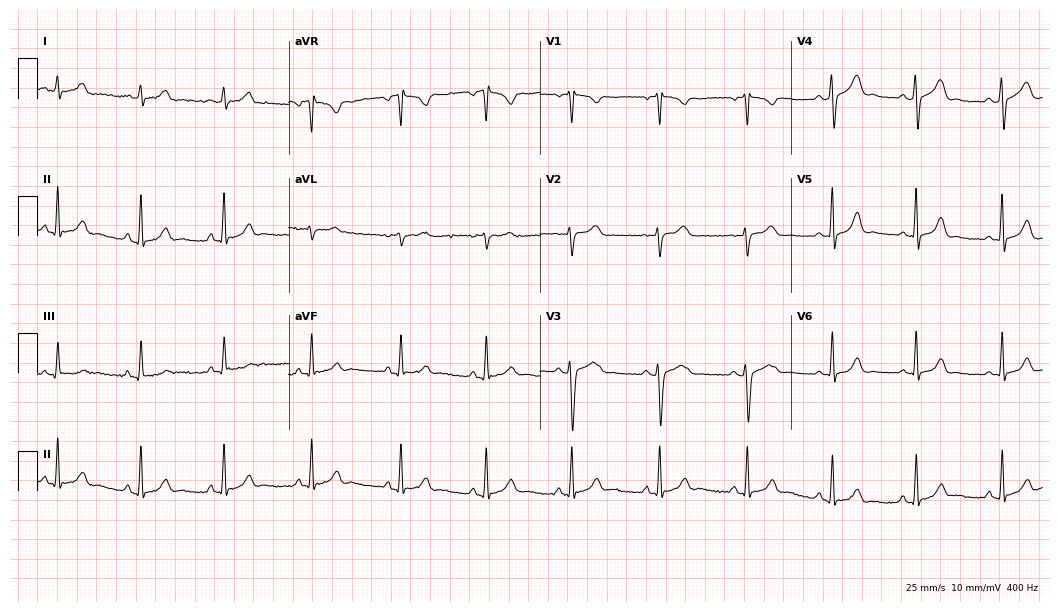
Electrocardiogram, a 17-year-old female. Overall reading on record: normal ECG.